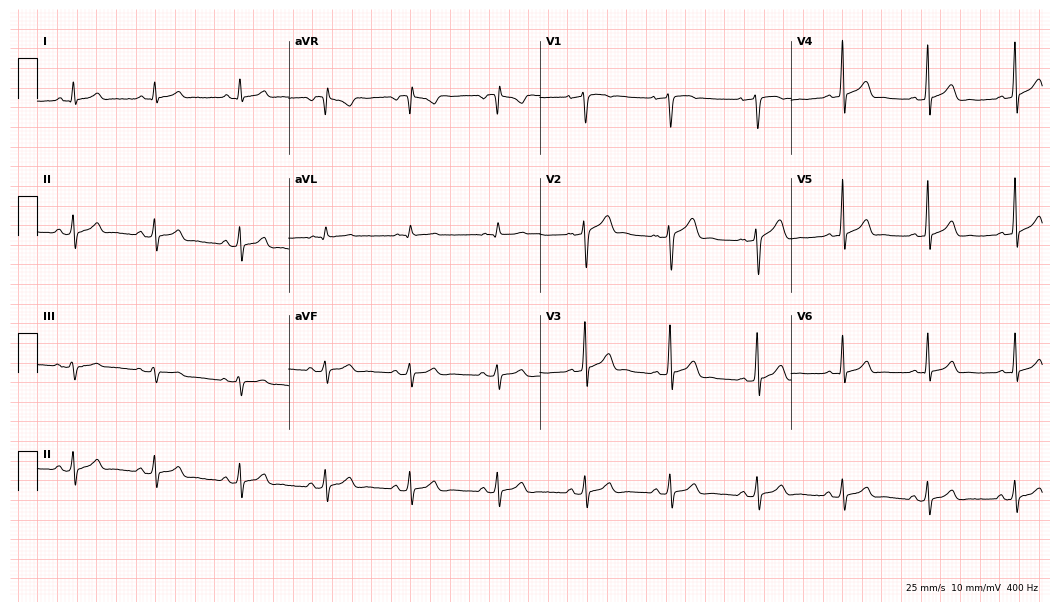
Resting 12-lead electrocardiogram (10.2-second recording at 400 Hz). Patient: a male, 35 years old. Read as a normal ECG.